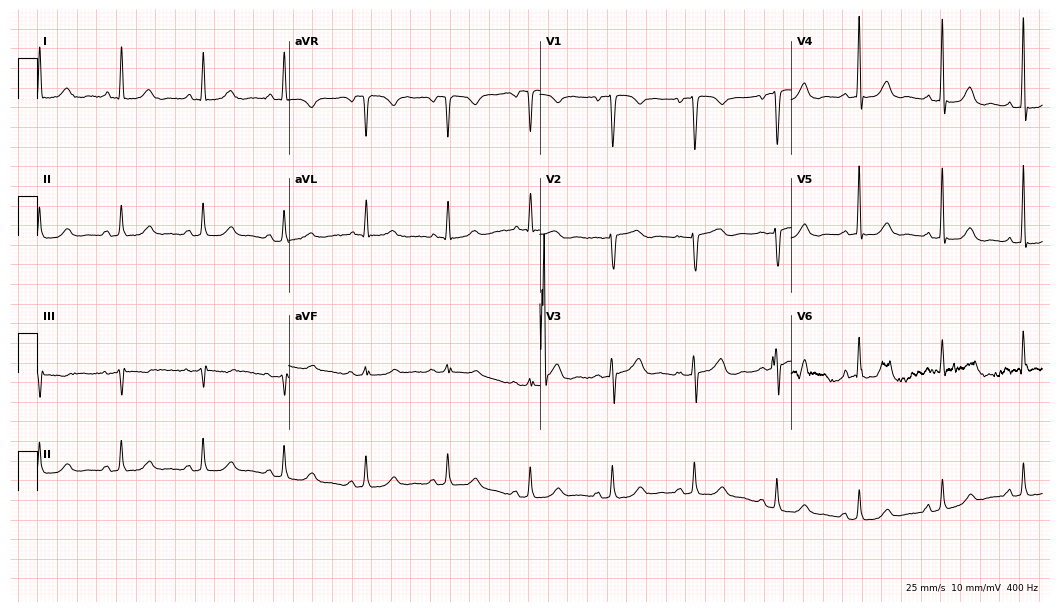
12-lead ECG (10.2-second recording at 400 Hz) from an 81-year-old female. Labelled as a normal ECG.